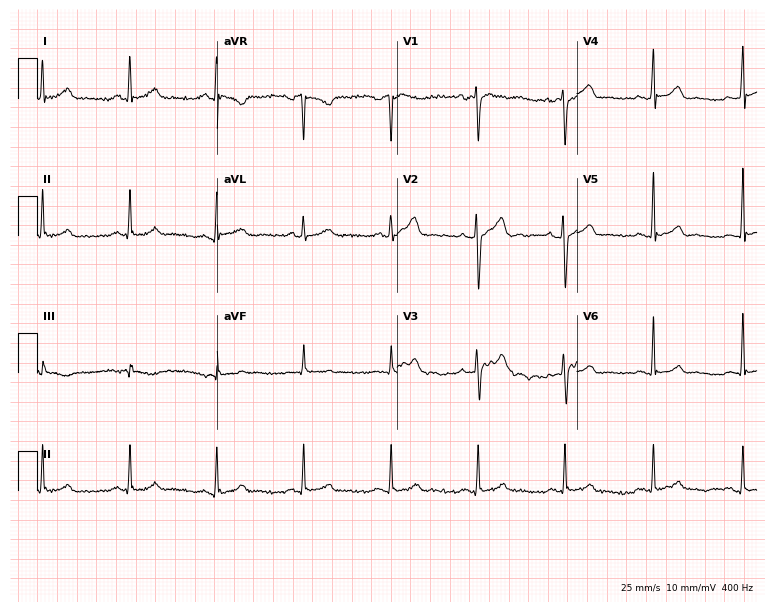
ECG (7.3-second recording at 400 Hz) — a 42-year-old male. Screened for six findings — first-degree AV block, right bundle branch block, left bundle branch block, sinus bradycardia, atrial fibrillation, sinus tachycardia — none is recorded.